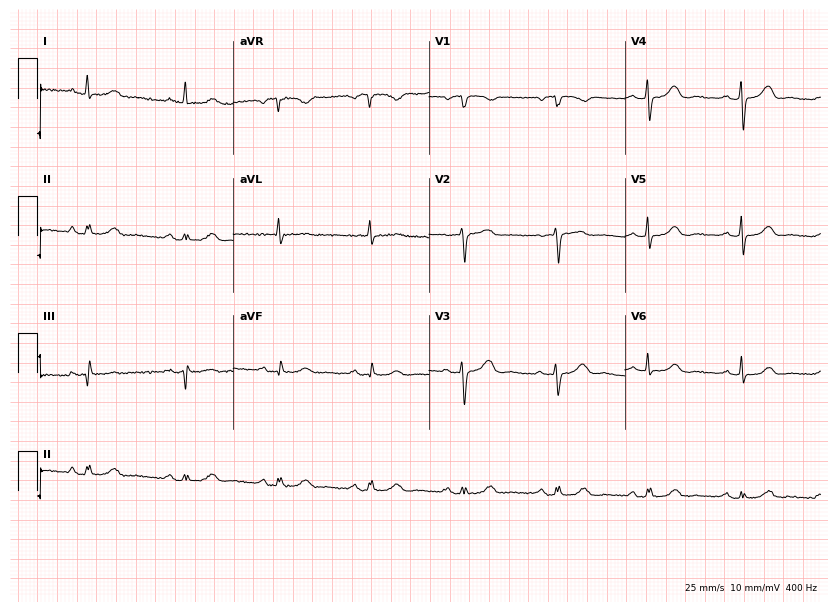
ECG (8-second recording at 400 Hz) — a female, 72 years old. Labelled as a normal ECG.